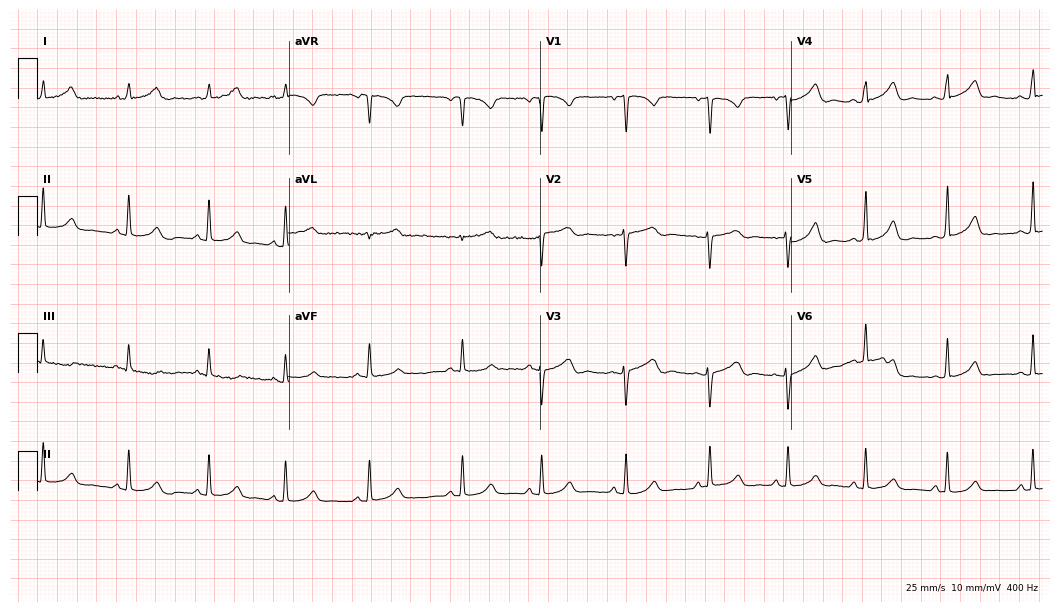
Standard 12-lead ECG recorded from a 26-year-old female patient. Read as a normal ECG.